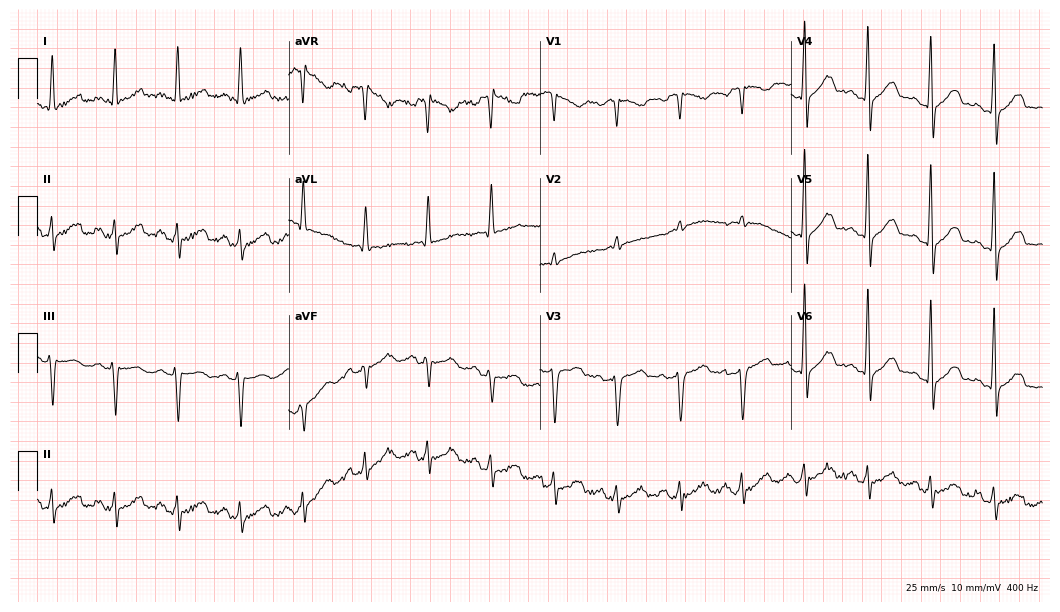
12-lead ECG from a 69-year-old woman (10.2-second recording at 400 Hz). No first-degree AV block, right bundle branch block (RBBB), left bundle branch block (LBBB), sinus bradycardia, atrial fibrillation (AF) or sinus tachycardia recorded for this tracing. Findings outside these six are not listed.